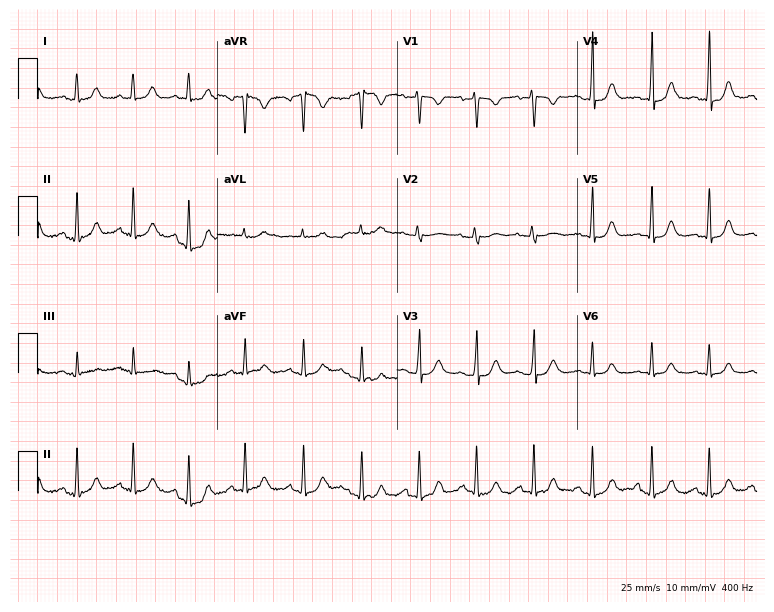
Resting 12-lead electrocardiogram (7.3-second recording at 400 Hz). Patient: a woman, 39 years old. The tracing shows sinus tachycardia (a sinus rate of 100 beats per minute or more).